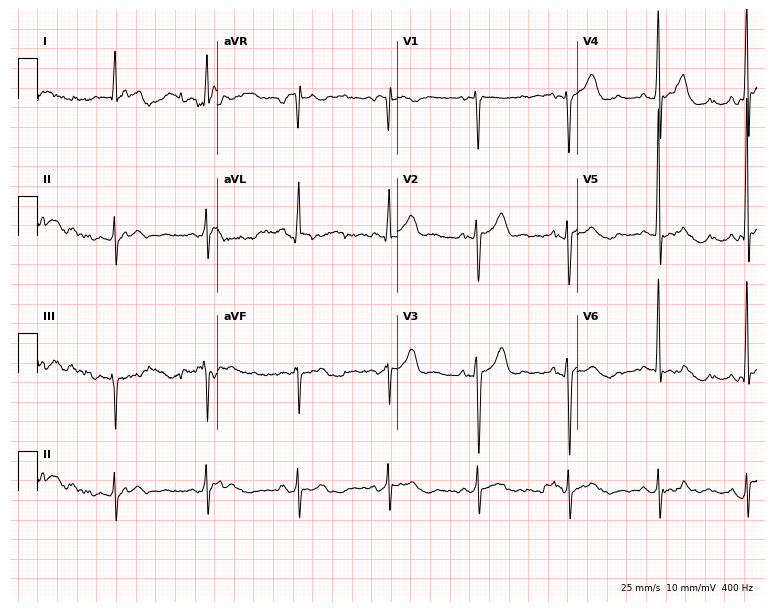
12-lead ECG (7.3-second recording at 400 Hz) from a man, 65 years old. Screened for six findings — first-degree AV block, right bundle branch block, left bundle branch block, sinus bradycardia, atrial fibrillation, sinus tachycardia — none is recorded.